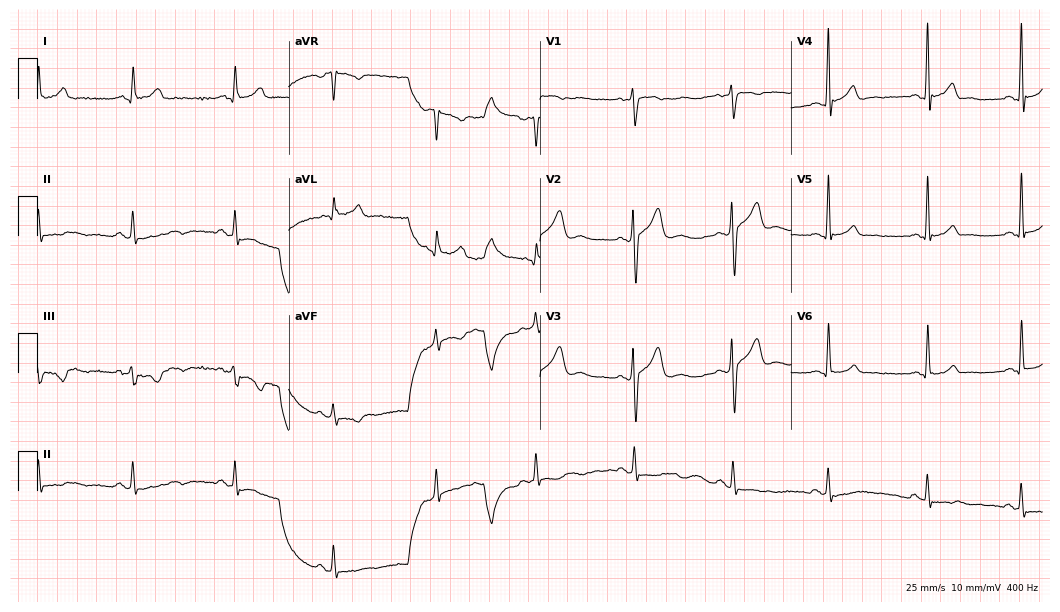
Electrocardiogram (10.2-second recording at 400 Hz), a 35-year-old man. Of the six screened findings (first-degree AV block, right bundle branch block, left bundle branch block, sinus bradycardia, atrial fibrillation, sinus tachycardia), none is recorded. Findings outside these six are not listed.